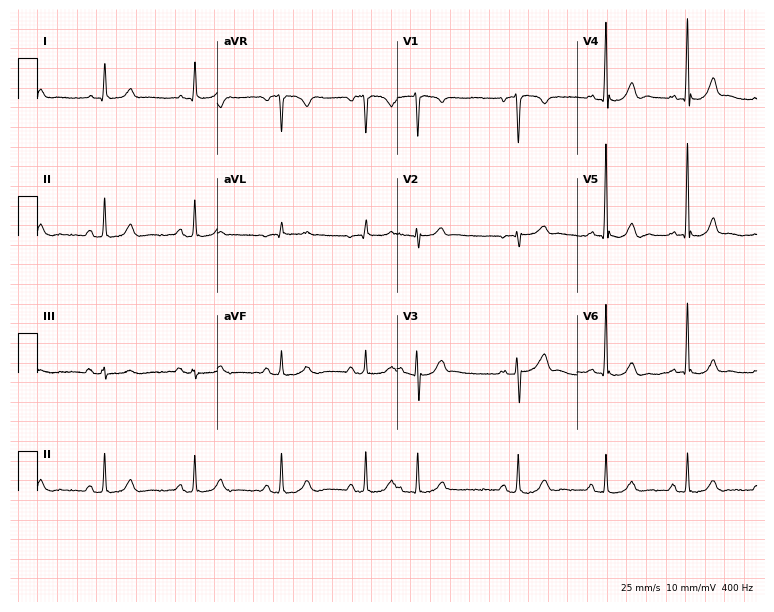
Electrocardiogram, a male patient, 60 years old. Overall reading on record: normal ECG.